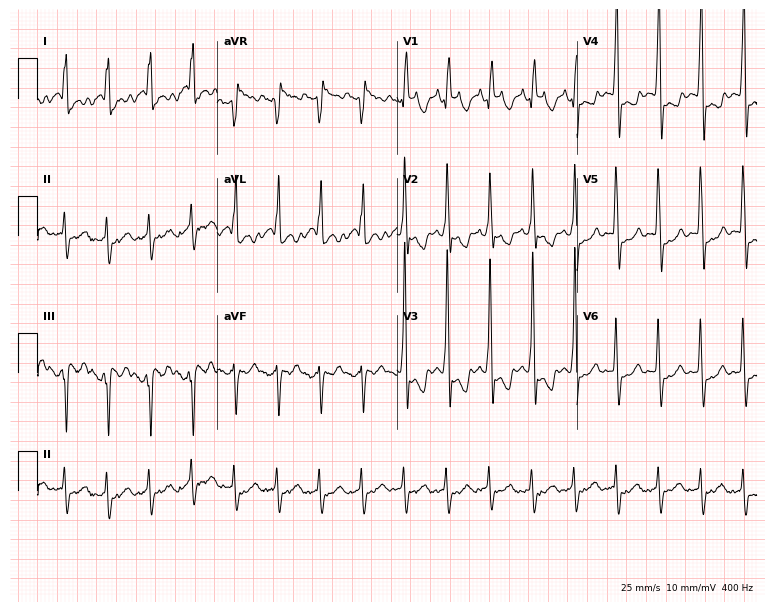
Electrocardiogram, a female, 48 years old. Interpretation includes sinus tachycardia (a sinus rate of 100 beats per minute or more).